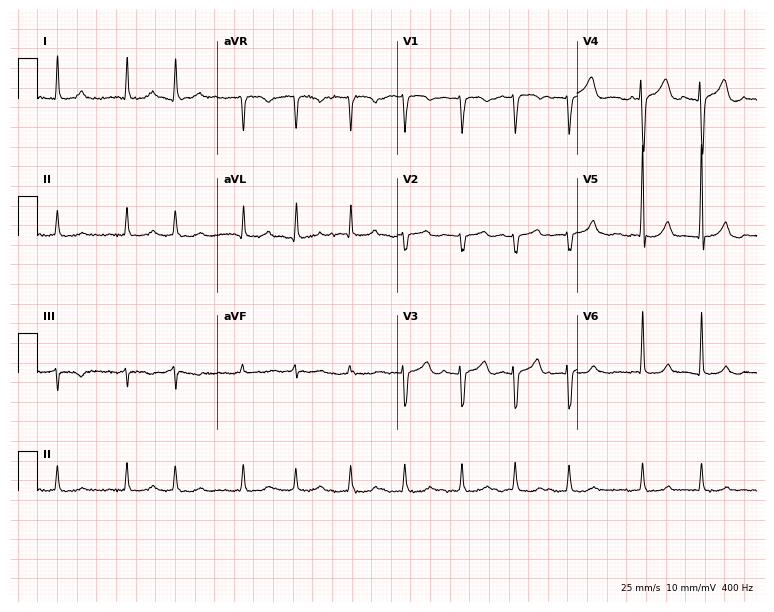
Standard 12-lead ECG recorded from a male patient, 74 years old (7.3-second recording at 400 Hz). The tracing shows atrial fibrillation (AF).